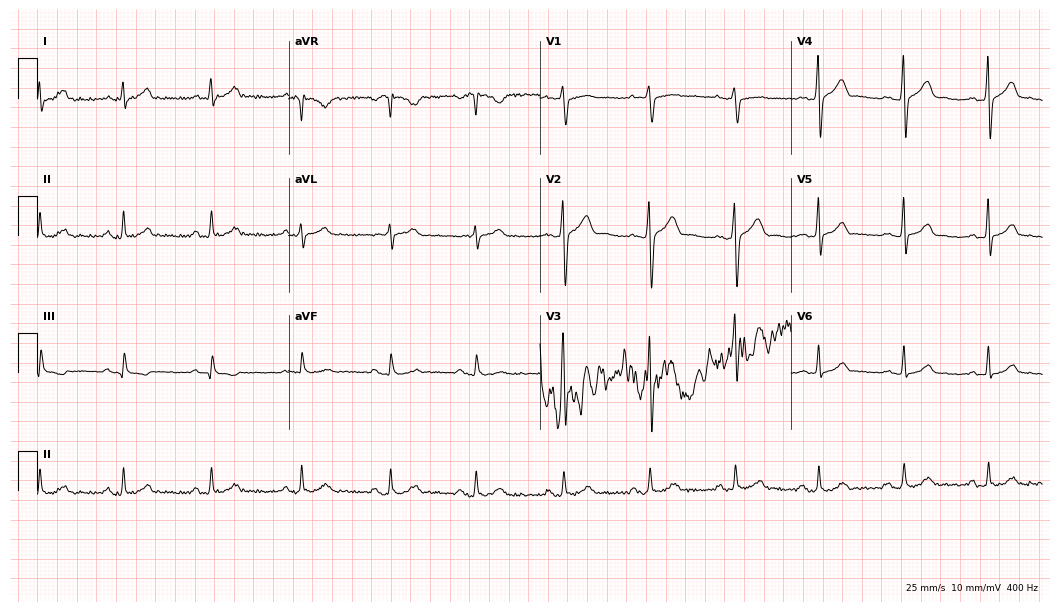
12-lead ECG (10.2-second recording at 400 Hz) from a 40-year-old male. Labelled as a normal ECG.